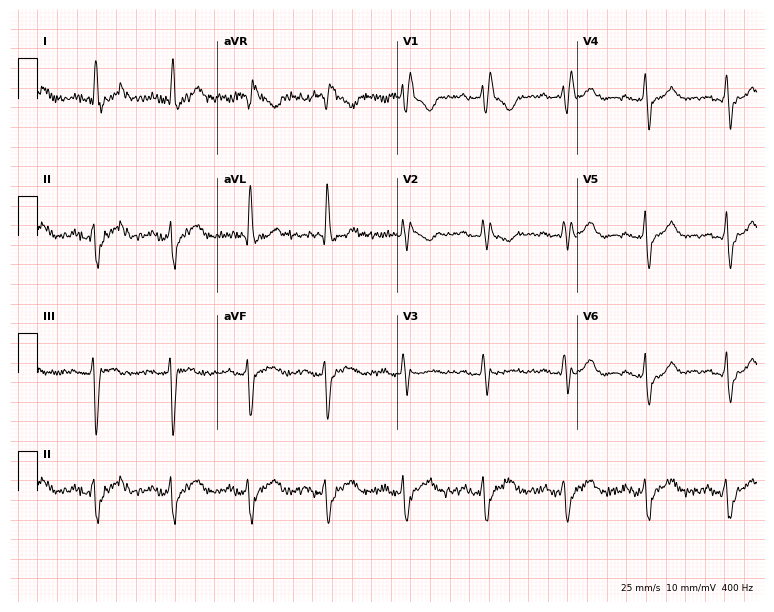
12-lead ECG from a female, 71 years old. Shows right bundle branch block (RBBB).